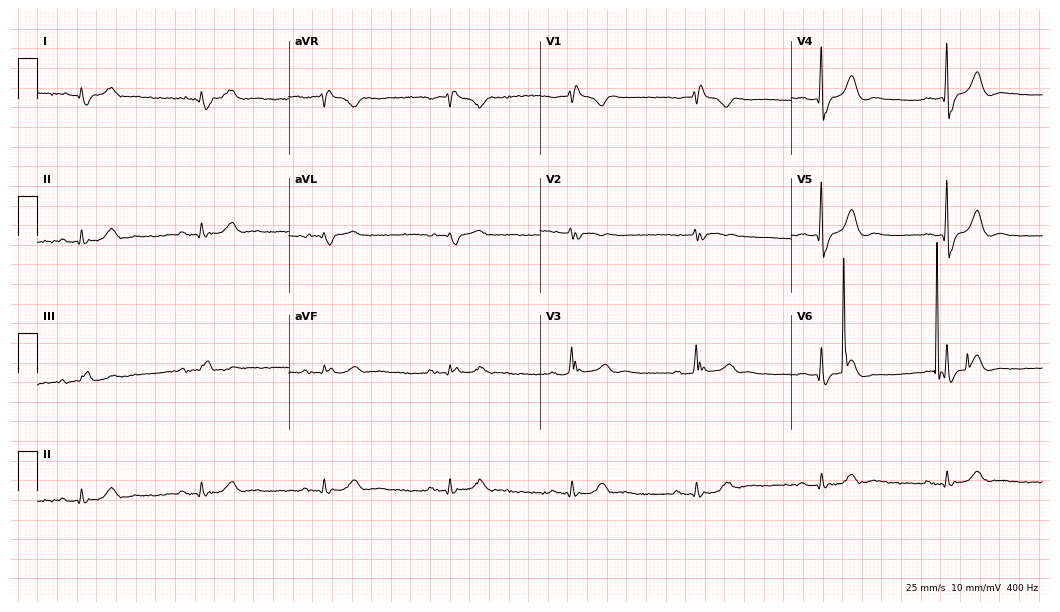
12-lead ECG from an 81-year-old male. Shows right bundle branch block (RBBB), sinus bradycardia (a sinus rate of 50 beats per minute or less).